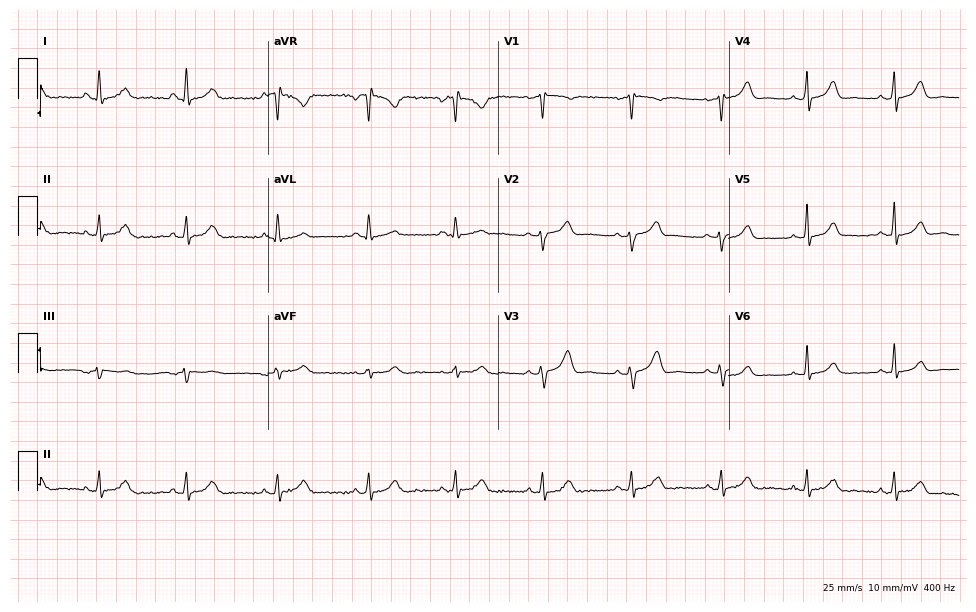
Standard 12-lead ECG recorded from a female patient, 34 years old (9.4-second recording at 400 Hz). Read as a normal ECG.